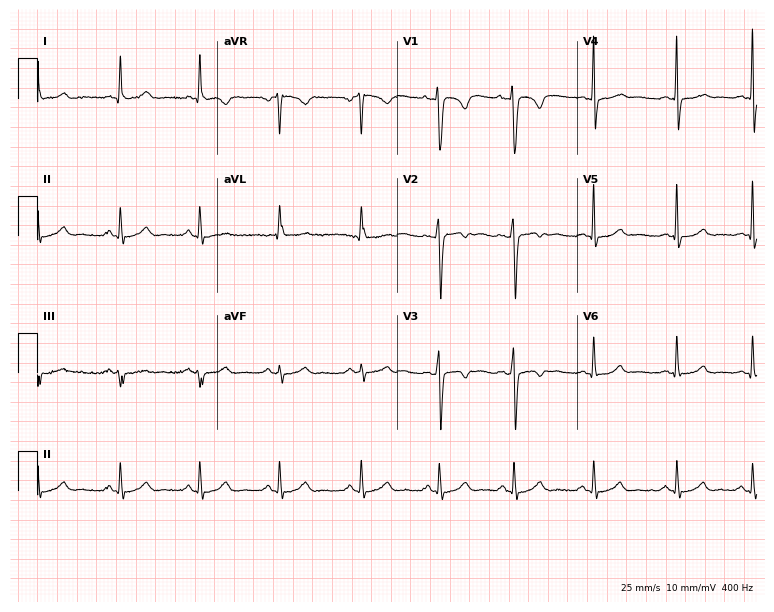
ECG — a woman, 30 years old. Screened for six findings — first-degree AV block, right bundle branch block, left bundle branch block, sinus bradycardia, atrial fibrillation, sinus tachycardia — none is recorded.